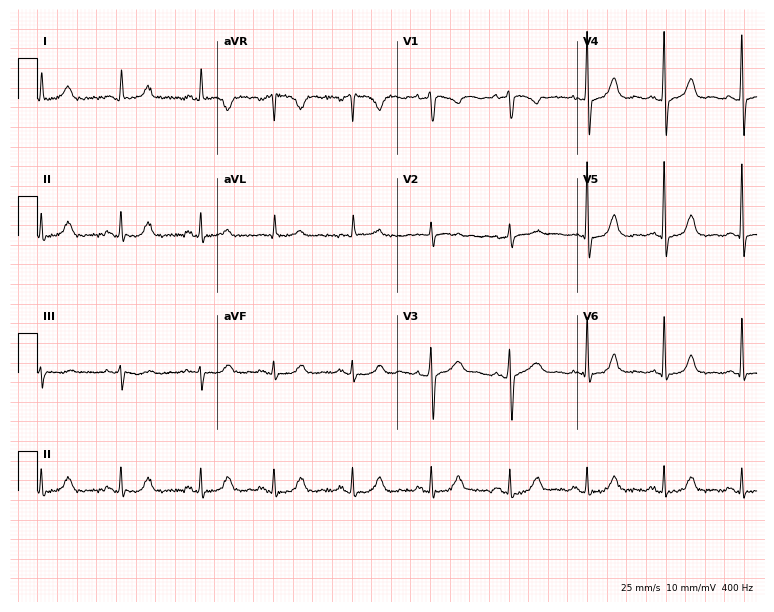
Electrocardiogram, a 55-year-old woman. Overall reading on record: normal ECG.